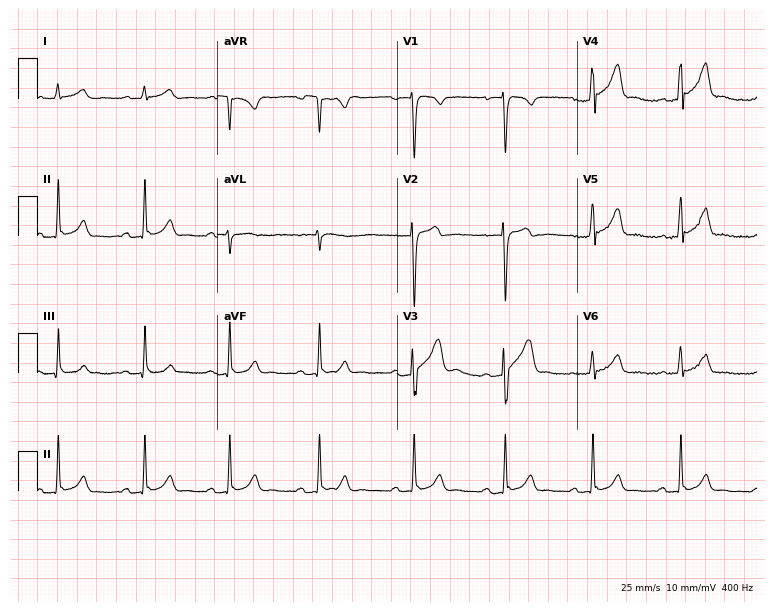
Electrocardiogram, a 21-year-old male patient. Overall reading on record: normal ECG.